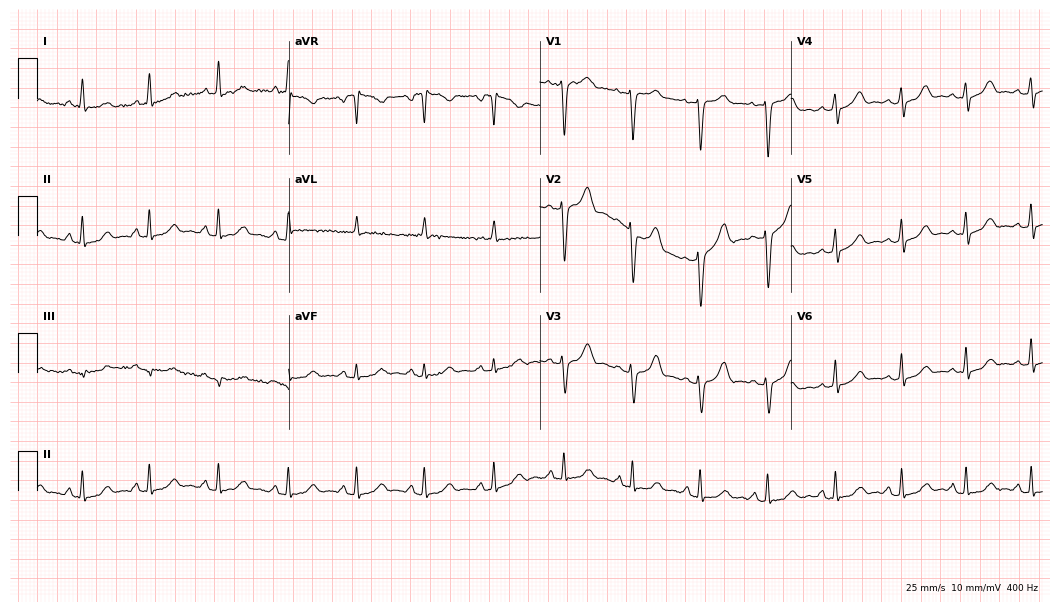
Standard 12-lead ECG recorded from a 33-year-old female patient. Read as a normal ECG.